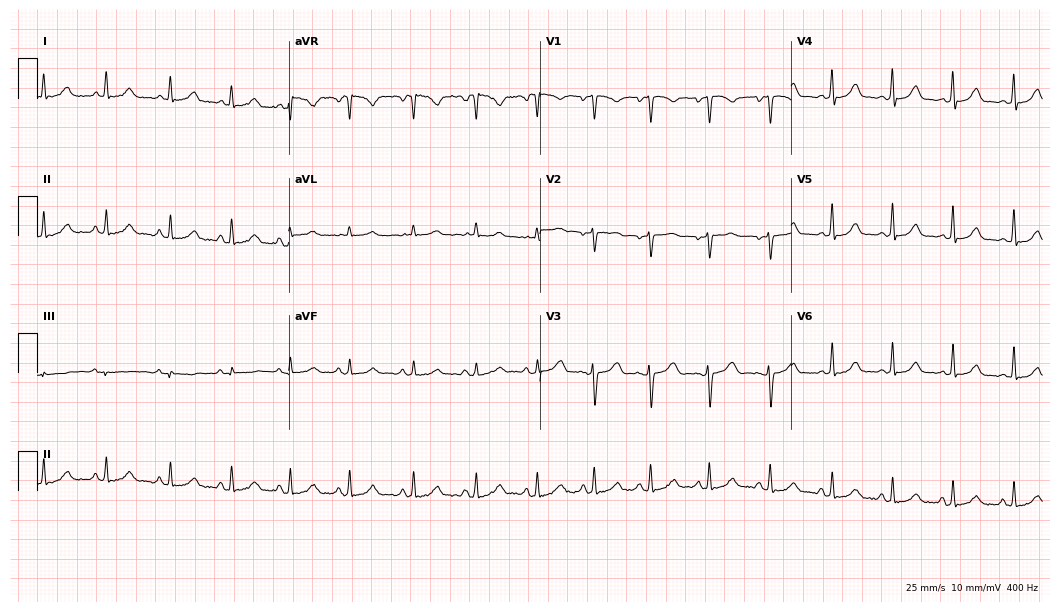
ECG (10.2-second recording at 400 Hz) — a 32-year-old female patient. Screened for six findings — first-degree AV block, right bundle branch block, left bundle branch block, sinus bradycardia, atrial fibrillation, sinus tachycardia — none is recorded.